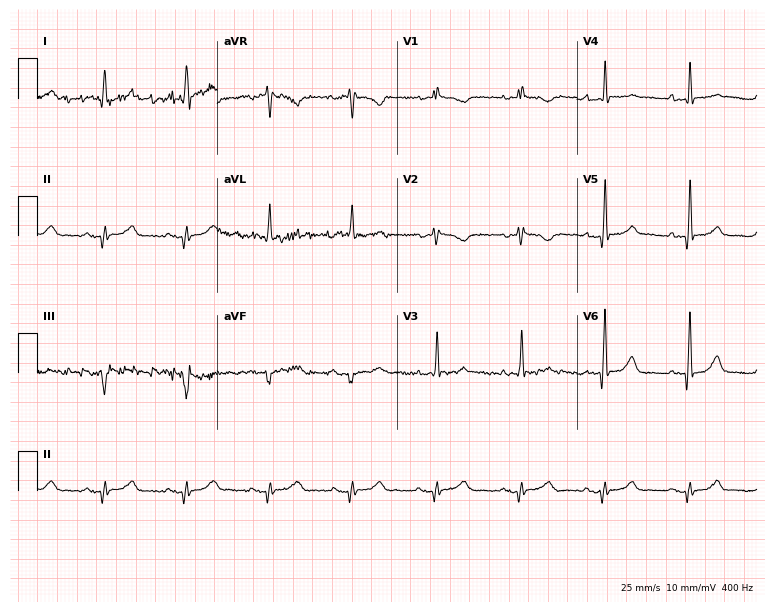
Resting 12-lead electrocardiogram. Patient: a woman, 81 years old. Read as a normal ECG.